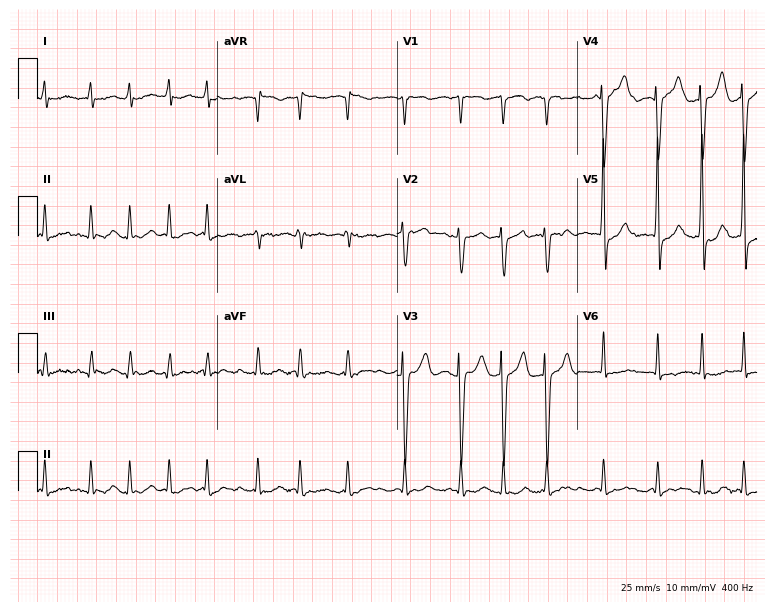
ECG — an 84-year-old male patient. Findings include atrial fibrillation.